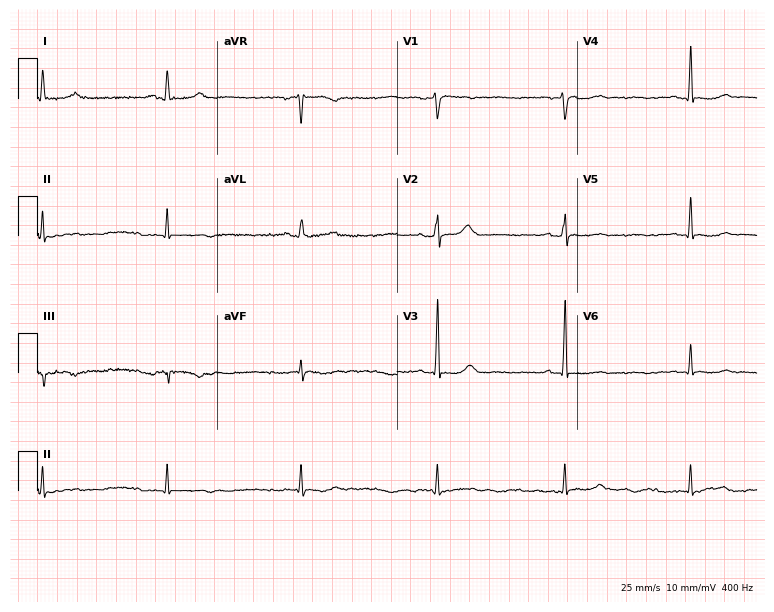
Resting 12-lead electrocardiogram. Patient: a 56-year-old female. The tracing shows sinus bradycardia (a sinus rate of 50 beats per minute or less).